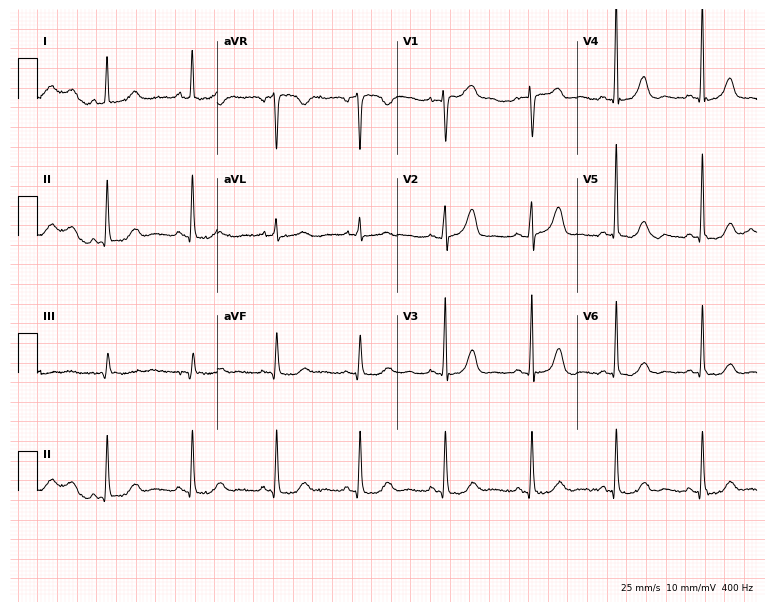
12-lead ECG from a female, 73 years old. Labelled as a normal ECG.